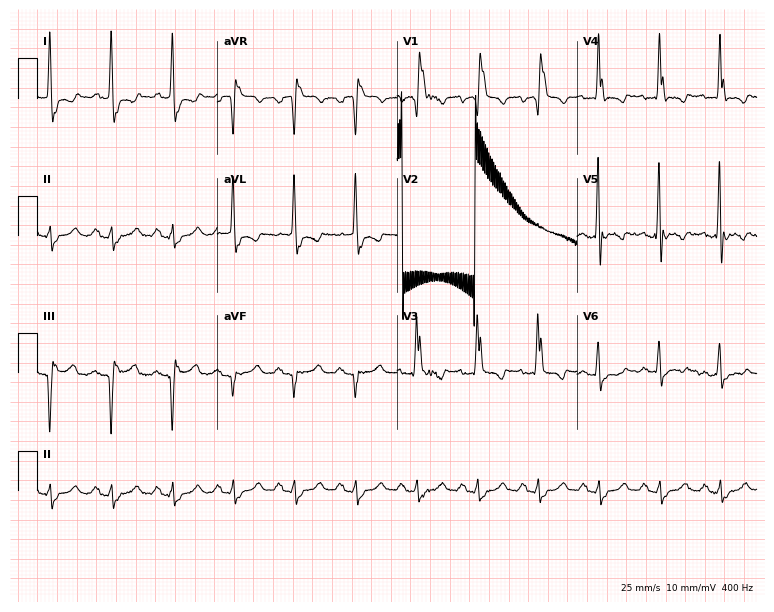
12-lead ECG (7.3-second recording at 400 Hz) from a 71-year-old woman. Findings include right bundle branch block (RBBB).